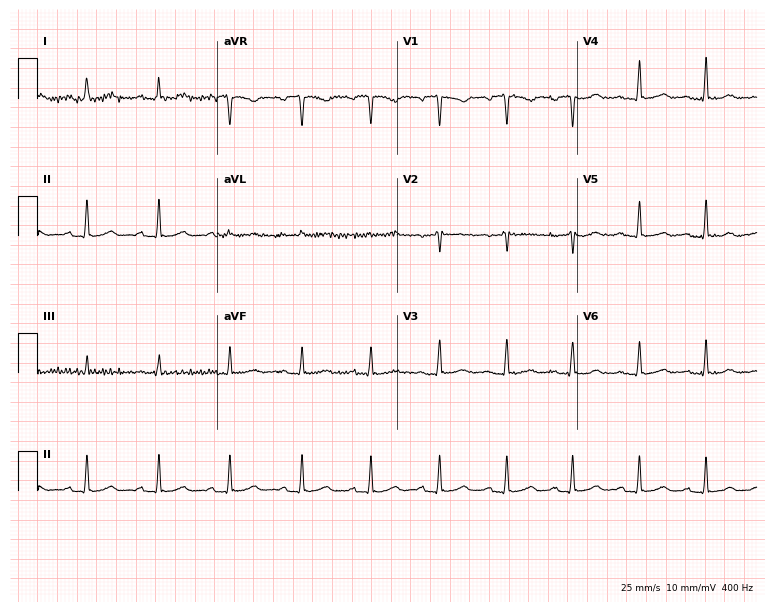
Electrocardiogram (7.3-second recording at 400 Hz), a woman, 27 years old. Of the six screened findings (first-degree AV block, right bundle branch block (RBBB), left bundle branch block (LBBB), sinus bradycardia, atrial fibrillation (AF), sinus tachycardia), none is recorded.